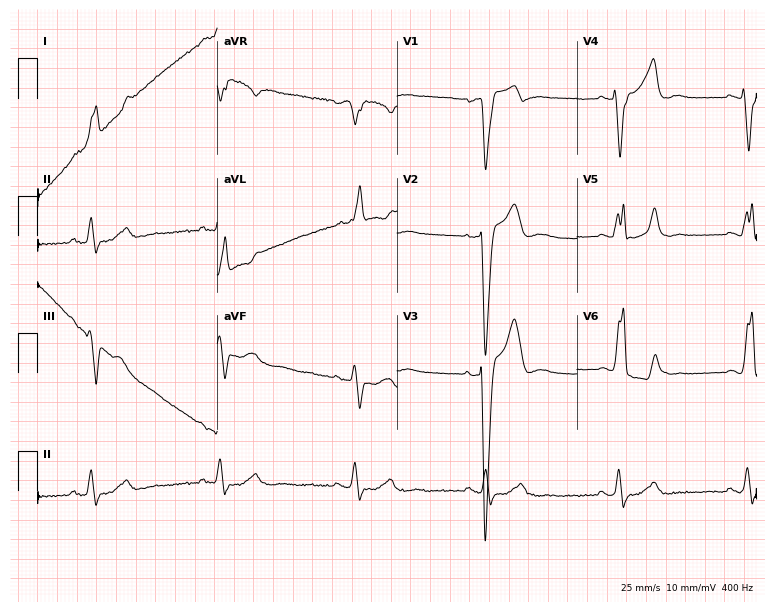
12-lead ECG from a 79-year-old male patient. Findings include left bundle branch block, sinus bradycardia (a sinus rate of 50 beats per minute or less).